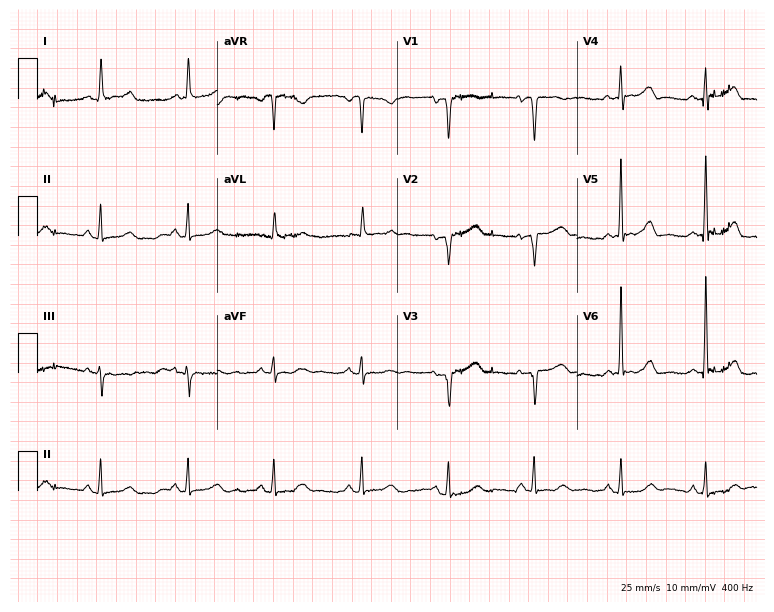
12-lead ECG from a 70-year-old female. Screened for six findings — first-degree AV block, right bundle branch block, left bundle branch block, sinus bradycardia, atrial fibrillation, sinus tachycardia — none is recorded.